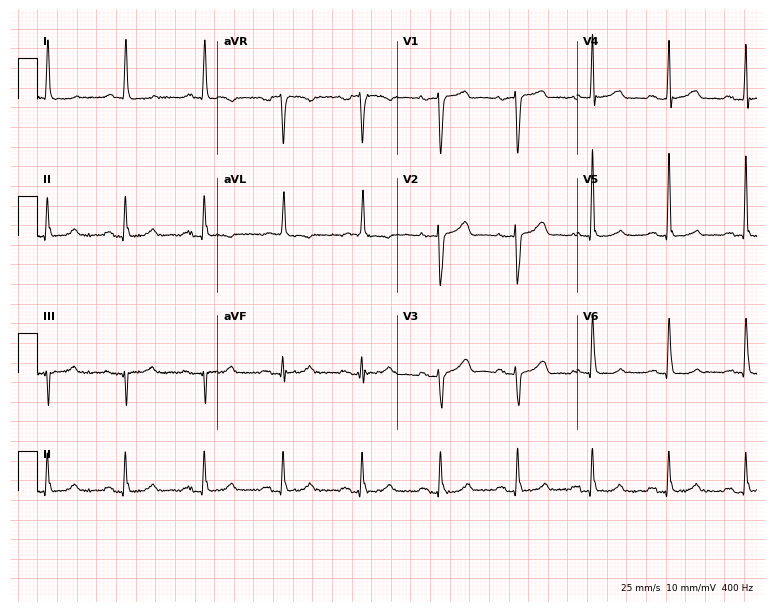
Resting 12-lead electrocardiogram. Patient: a female, 82 years old. None of these six findings is recorded: first-degree AV block, right bundle branch block, left bundle branch block, sinus bradycardia, atrial fibrillation, sinus tachycardia. Findings outside these six are not listed.